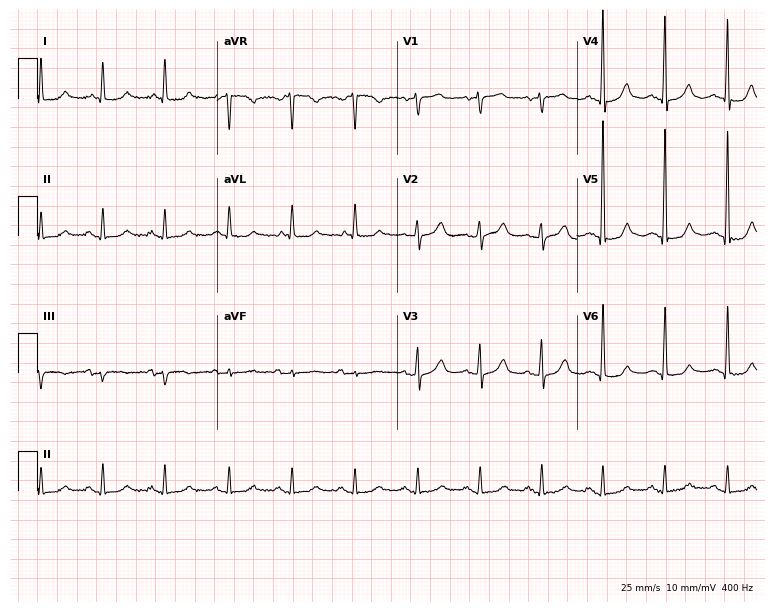
12-lead ECG from an 80-year-old woman. Labelled as a normal ECG.